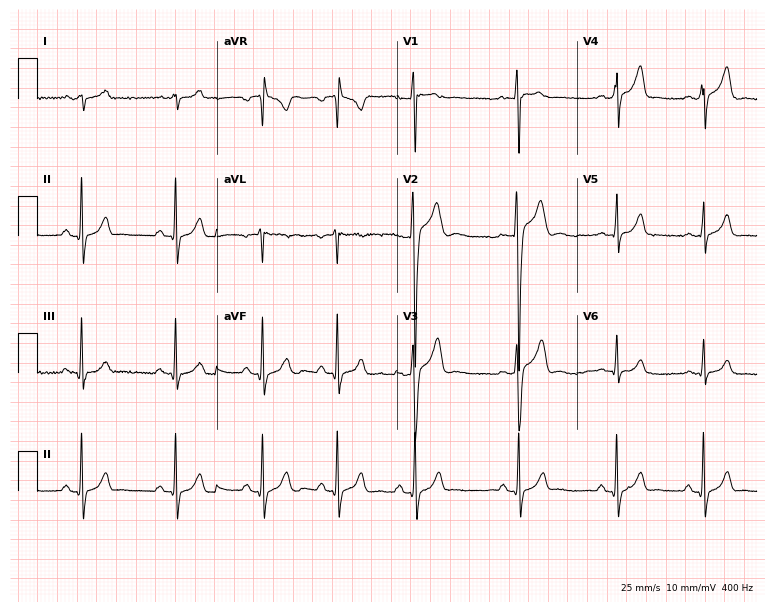
Electrocardiogram (7.3-second recording at 400 Hz), a 27-year-old male. Of the six screened findings (first-degree AV block, right bundle branch block, left bundle branch block, sinus bradycardia, atrial fibrillation, sinus tachycardia), none is recorded.